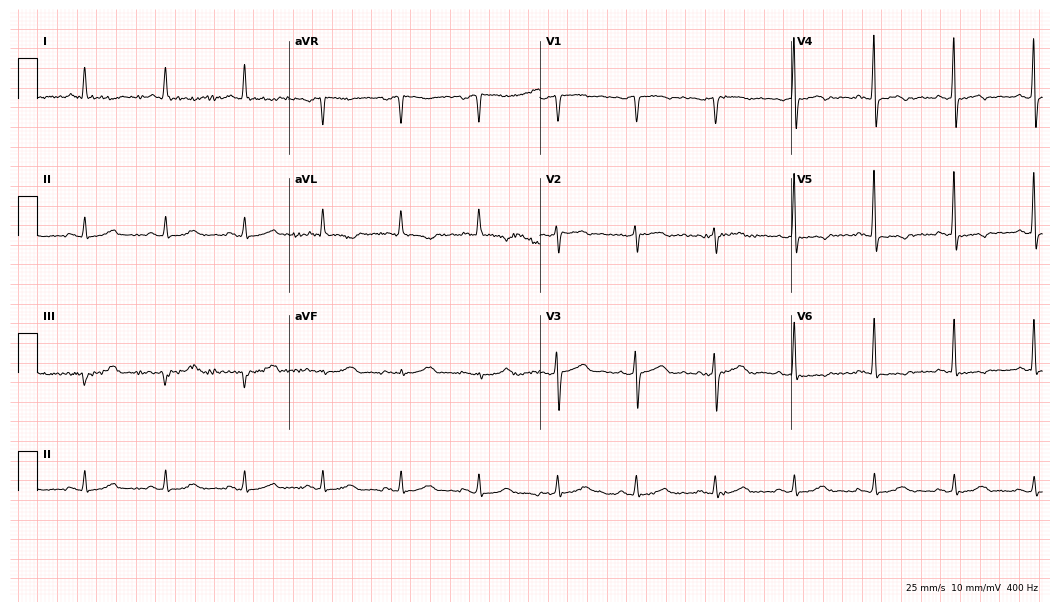
ECG (10.2-second recording at 400 Hz) — a 60-year-old male. Screened for six findings — first-degree AV block, right bundle branch block, left bundle branch block, sinus bradycardia, atrial fibrillation, sinus tachycardia — none is recorded. Findings outside these six are not listed.